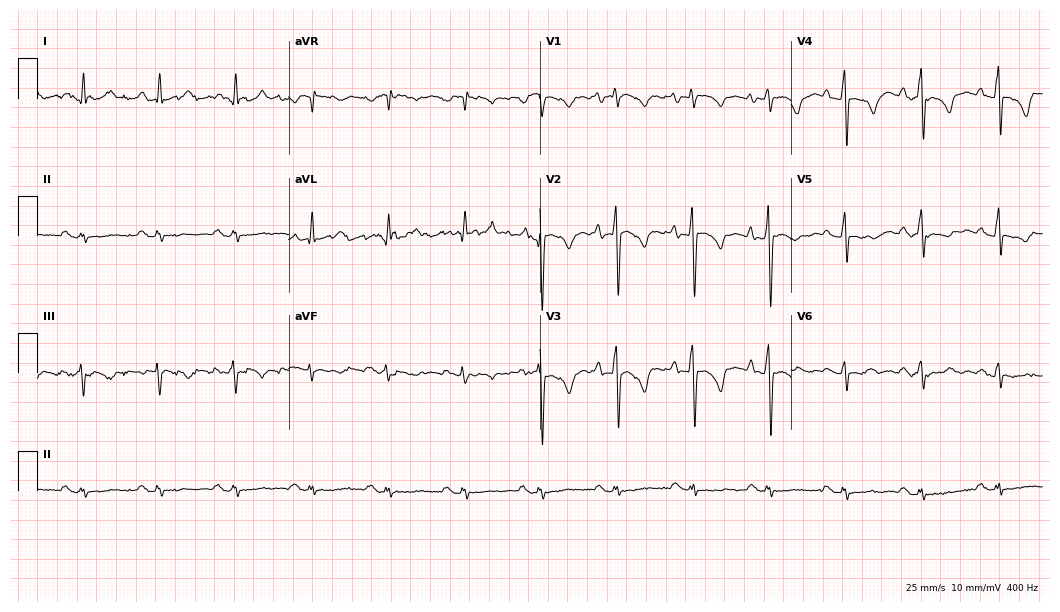
Electrocardiogram (10.2-second recording at 400 Hz), a man, 80 years old. Of the six screened findings (first-degree AV block, right bundle branch block, left bundle branch block, sinus bradycardia, atrial fibrillation, sinus tachycardia), none is recorded.